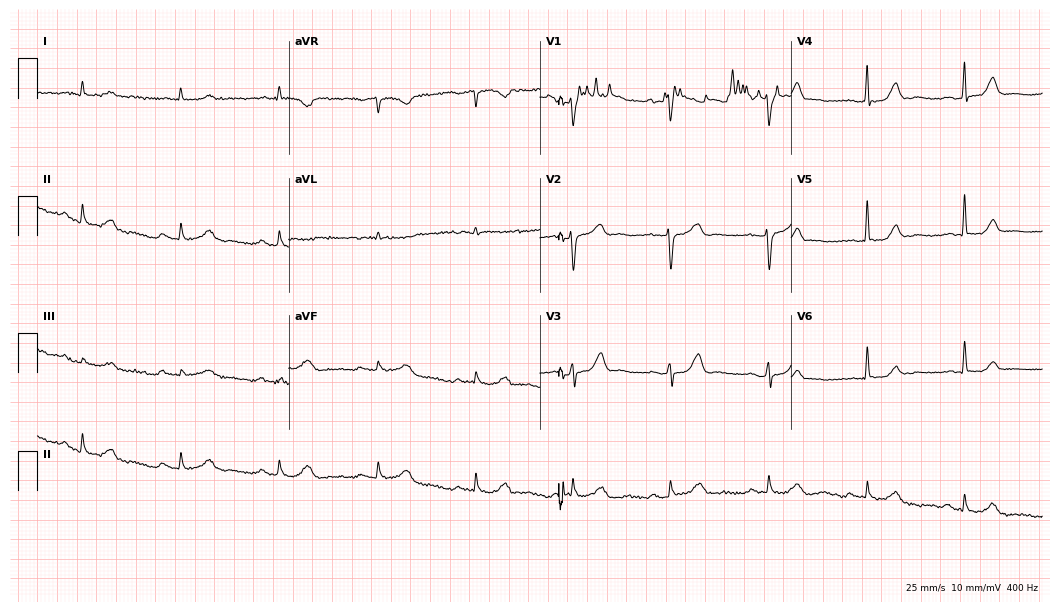
12-lead ECG (10.2-second recording at 400 Hz) from an 85-year-old male. Labelled as a normal ECG.